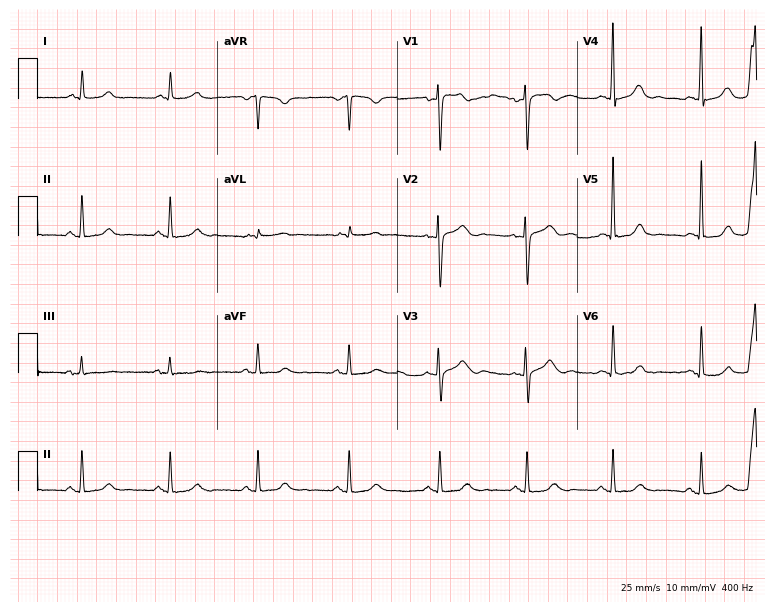
Electrocardiogram (7.3-second recording at 400 Hz), a 62-year-old woman. Overall reading on record: normal ECG.